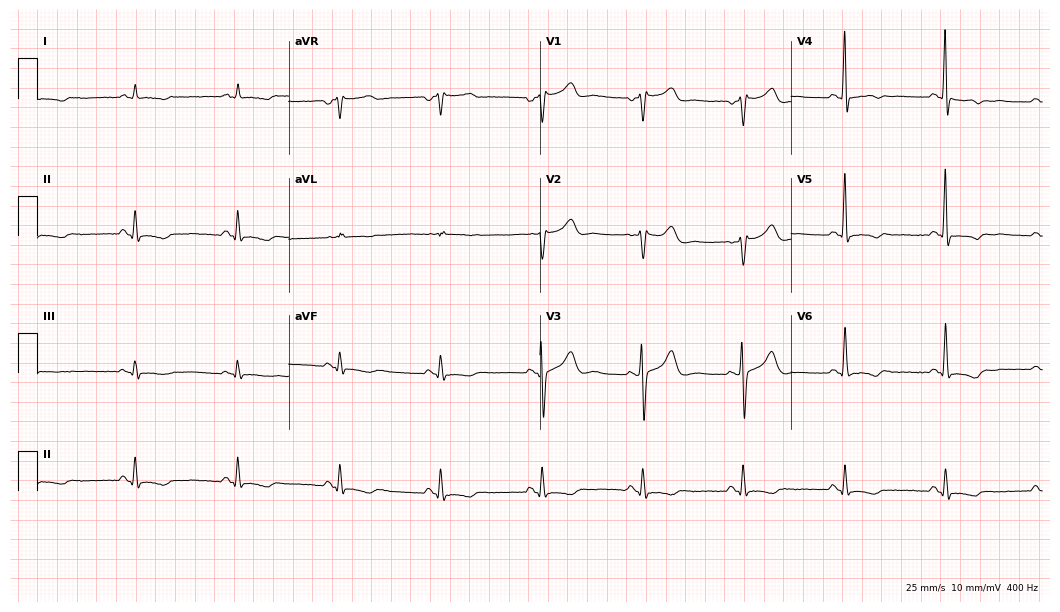
12-lead ECG from a man, 73 years old (10.2-second recording at 400 Hz). No first-degree AV block, right bundle branch block, left bundle branch block, sinus bradycardia, atrial fibrillation or sinus tachycardia recorded for this tracing. Only these six findings were labelled.